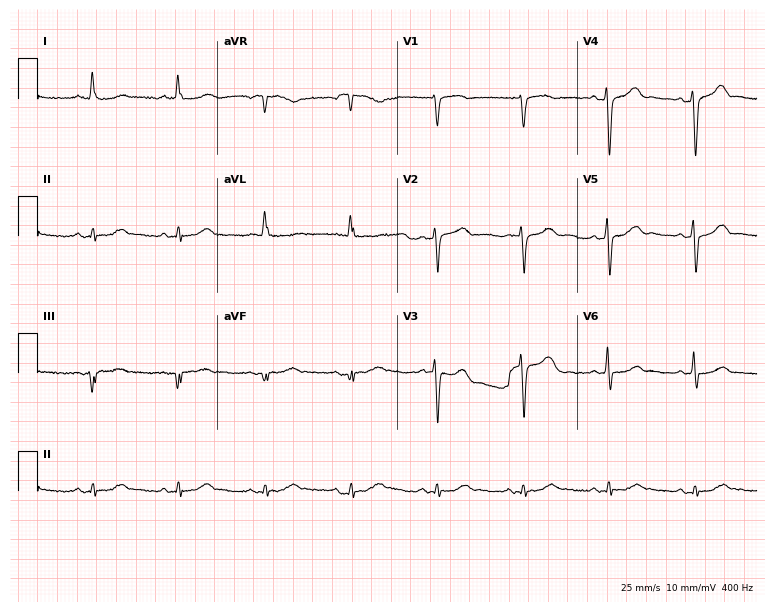
Resting 12-lead electrocardiogram (7.3-second recording at 400 Hz). Patient: a male, 81 years old. None of these six findings is recorded: first-degree AV block, right bundle branch block, left bundle branch block, sinus bradycardia, atrial fibrillation, sinus tachycardia. Other findings, if any, are not listed.